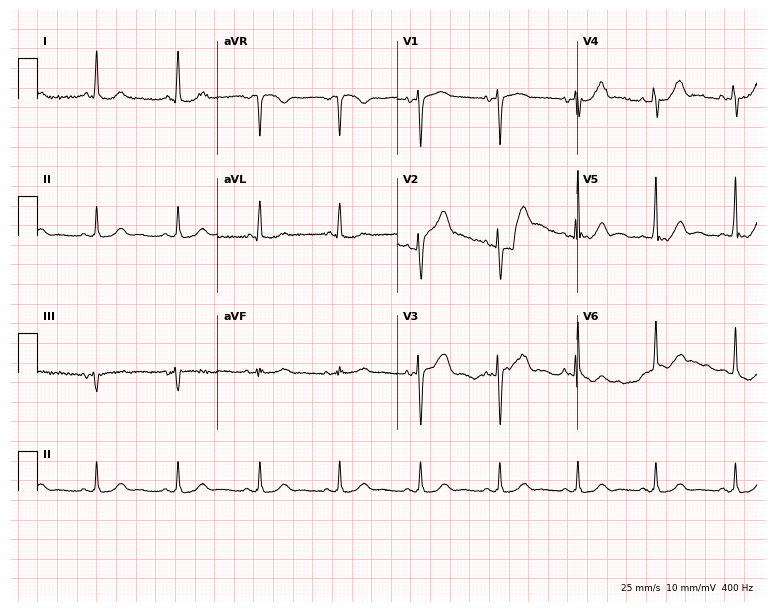
Electrocardiogram (7.3-second recording at 400 Hz), a female patient, 64 years old. Of the six screened findings (first-degree AV block, right bundle branch block, left bundle branch block, sinus bradycardia, atrial fibrillation, sinus tachycardia), none is recorded. Findings outside these six are not listed.